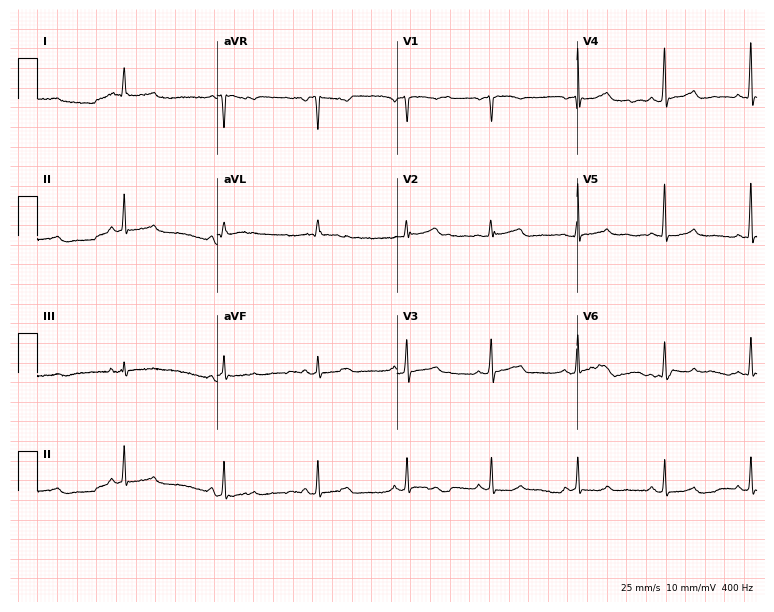
Standard 12-lead ECG recorded from a female patient, 53 years old (7.3-second recording at 400 Hz). Read as a normal ECG.